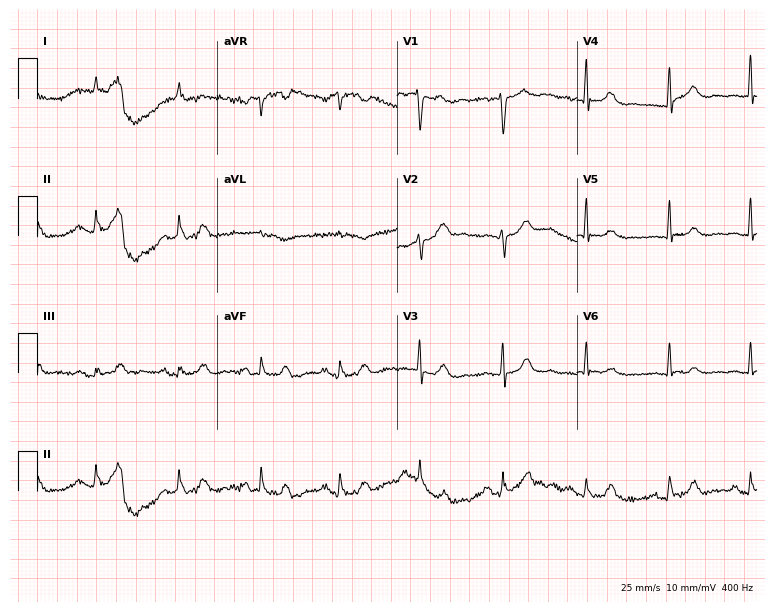
ECG — an 83-year-old male patient. Screened for six findings — first-degree AV block, right bundle branch block, left bundle branch block, sinus bradycardia, atrial fibrillation, sinus tachycardia — none is recorded.